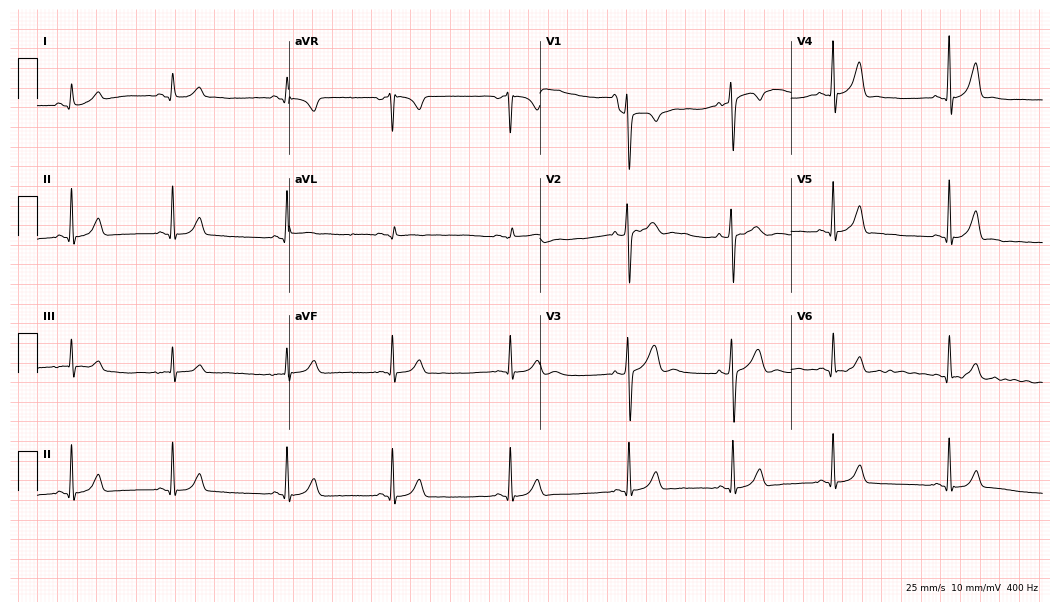
12-lead ECG from a man, 19 years old. Labelled as a normal ECG.